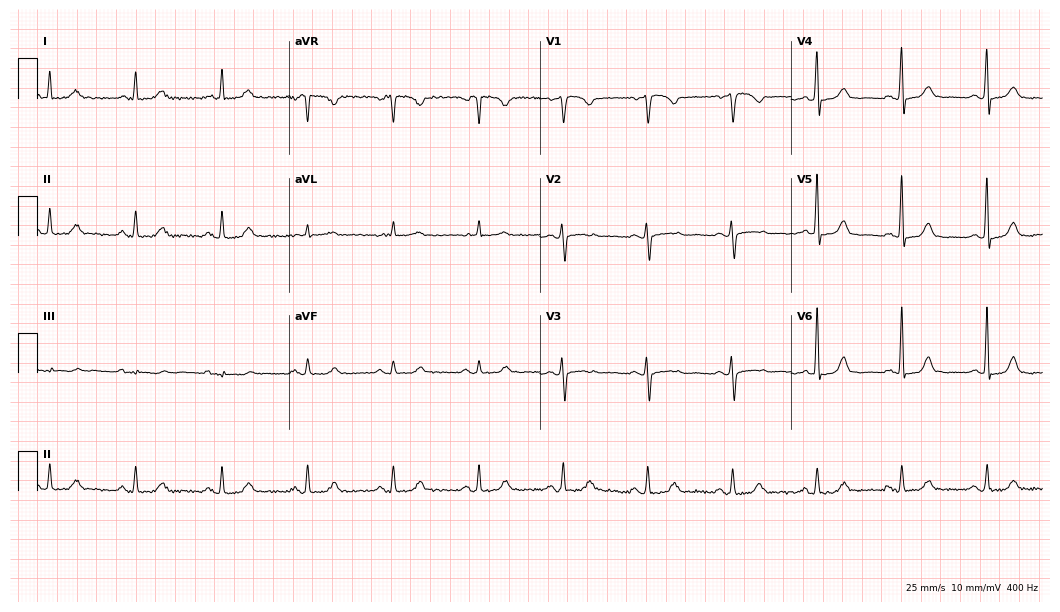
12-lead ECG (10.2-second recording at 400 Hz) from an 85-year-old woman. Labelled as a normal ECG.